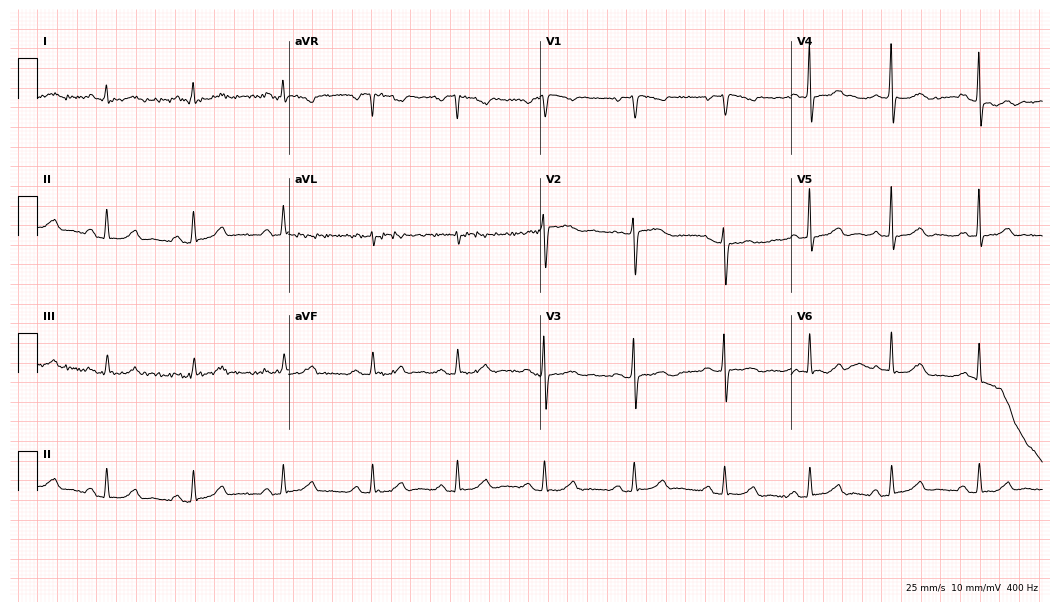
12-lead ECG from a woman, 42 years old (10.2-second recording at 400 Hz). Recorded interpretation: within normal limits.